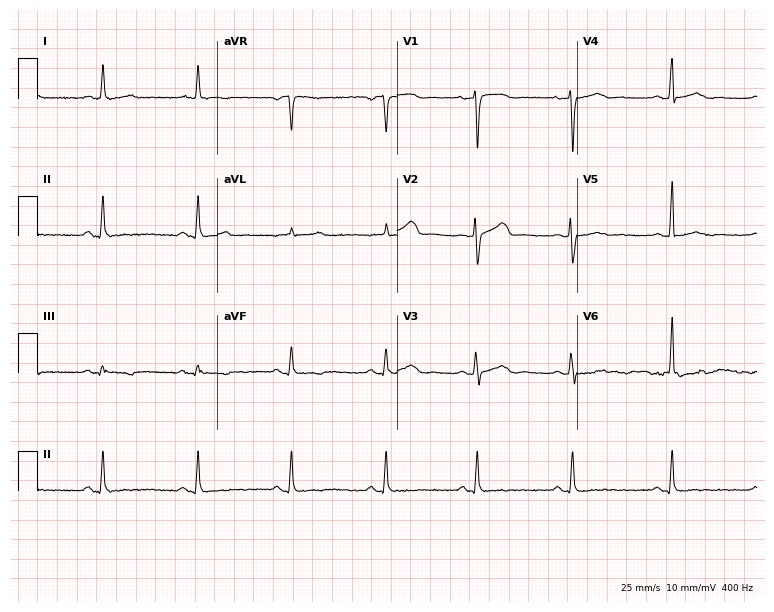
12-lead ECG from a 56-year-old woman. Recorded interpretation: within normal limits.